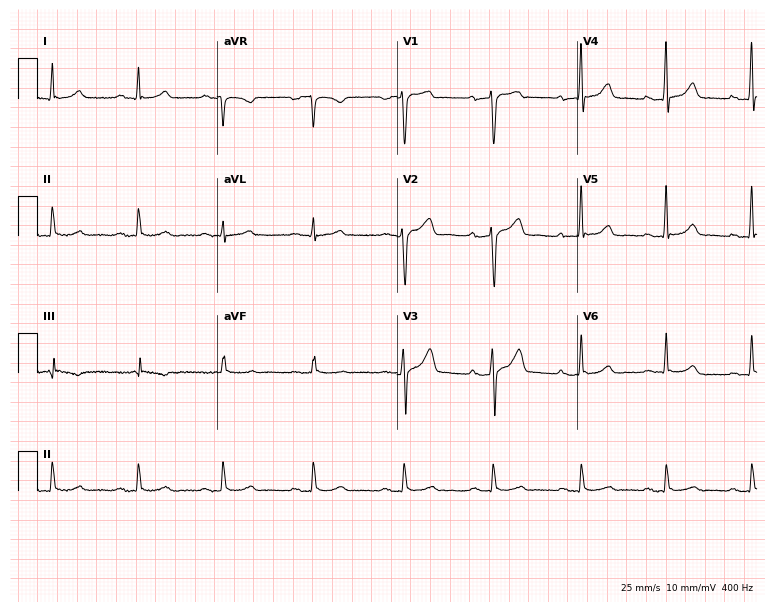
Standard 12-lead ECG recorded from a 35-year-old male patient (7.3-second recording at 400 Hz). None of these six findings is recorded: first-degree AV block, right bundle branch block (RBBB), left bundle branch block (LBBB), sinus bradycardia, atrial fibrillation (AF), sinus tachycardia.